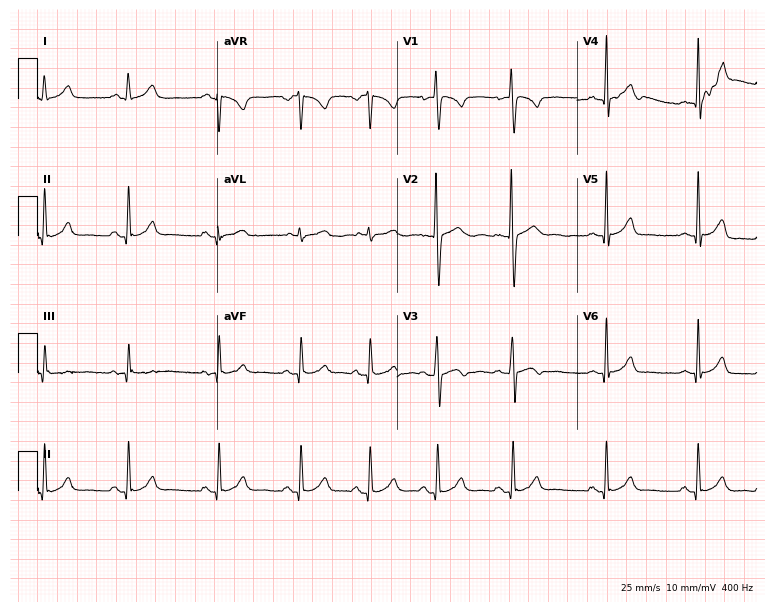
12-lead ECG from a 17-year-old female. Recorded interpretation: within normal limits.